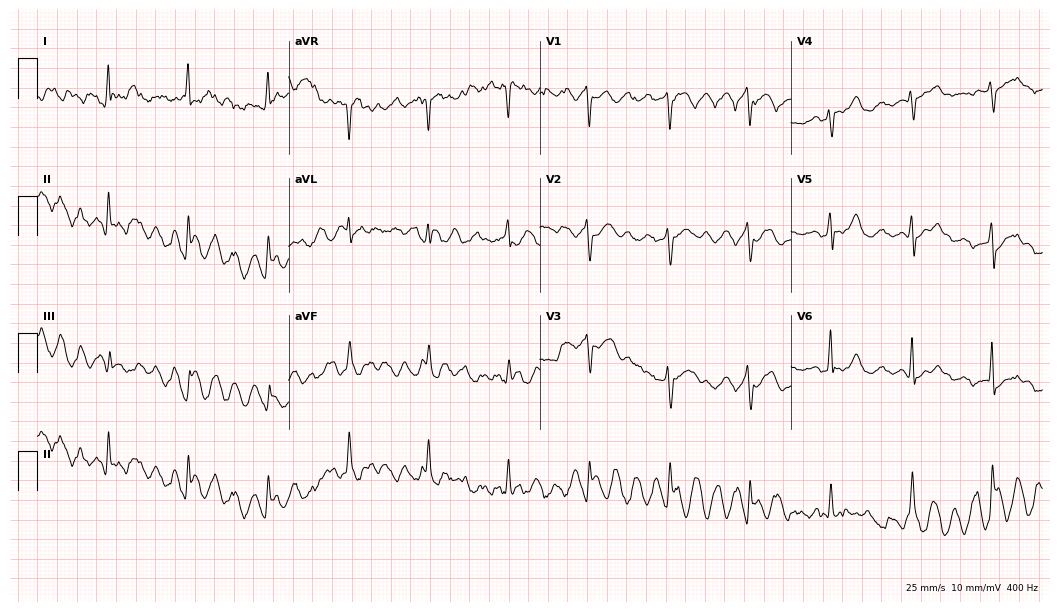
Standard 12-lead ECG recorded from a 57-year-old man. None of these six findings is recorded: first-degree AV block, right bundle branch block, left bundle branch block, sinus bradycardia, atrial fibrillation, sinus tachycardia. Only these six findings were labelled.